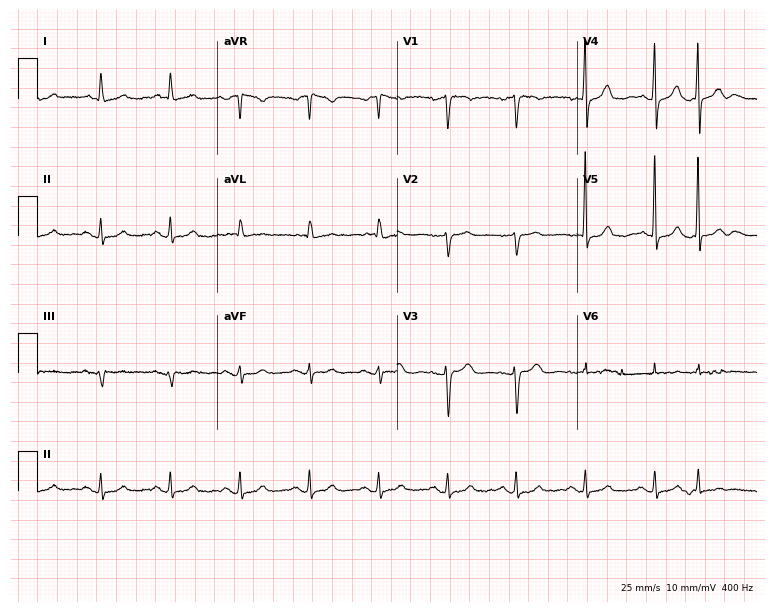
12-lead ECG (7.3-second recording at 400 Hz) from a 74-year-old female. Screened for six findings — first-degree AV block, right bundle branch block, left bundle branch block, sinus bradycardia, atrial fibrillation, sinus tachycardia — none is recorded. Findings outside these six are not listed.